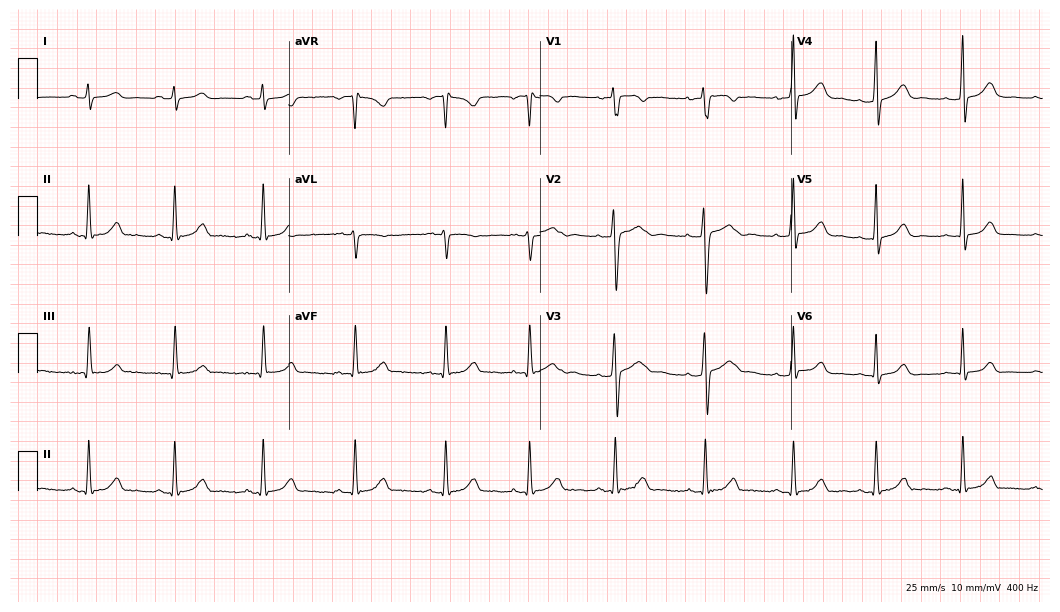
Electrocardiogram (10.2-second recording at 400 Hz), a female, 26 years old. Overall reading on record: normal ECG.